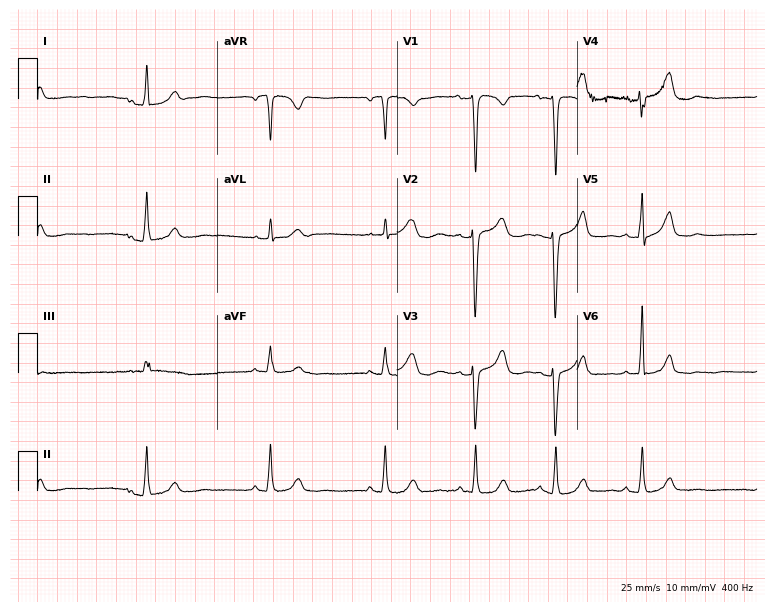
Electrocardiogram, a woman, 29 years old. Of the six screened findings (first-degree AV block, right bundle branch block, left bundle branch block, sinus bradycardia, atrial fibrillation, sinus tachycardia), none is recorded. Findings outside these six are not listed.